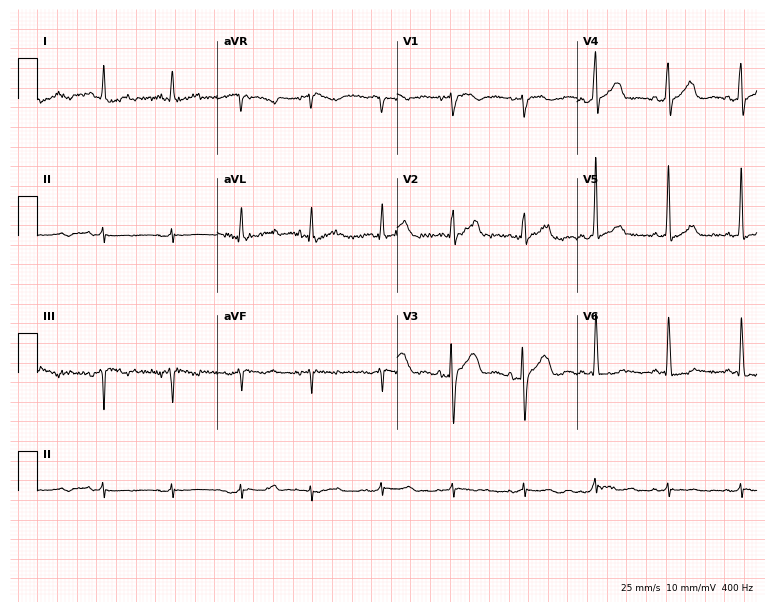
12-lead ECG from a woman, 80 years old. No first-degree AV block, right bundle branch block (RBBB), left bundle branch block (LBBB), sinus bradycardia, atrial fibrillation (AF) or sinus tachycardia recorded for this tracing.